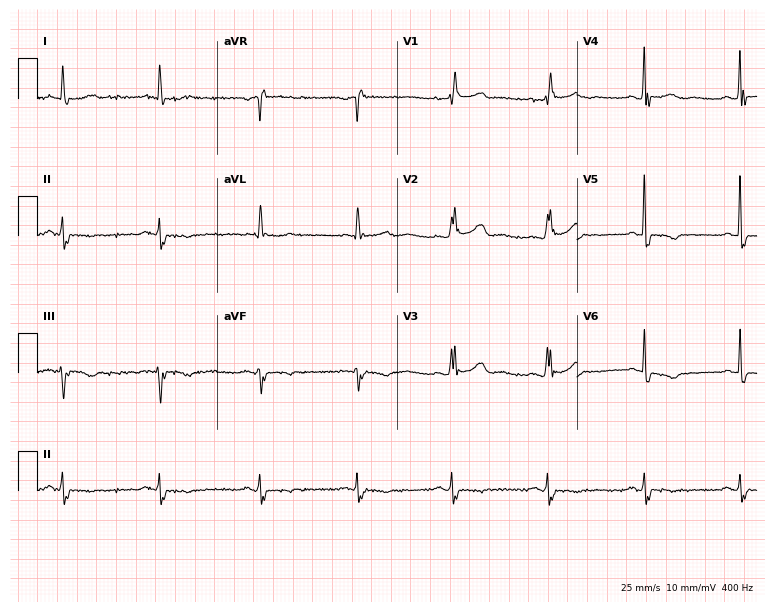
Electrocardiogram (7.3-second recording at 400 Hz), a female patient, 78 years old. Of the six screened findings (first-degree AV block, right bundle branch block (RBBB), left bundle branch block (LBBB), sinus bradycardia, atrial fibrillation (AF), sinus tachycardia), none is recorded.